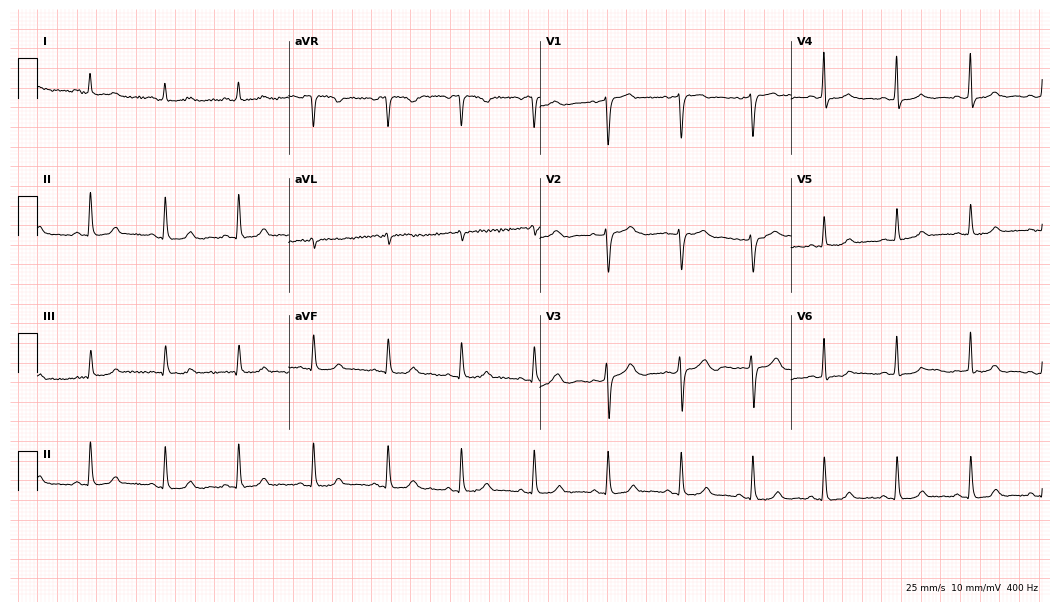
Resting 12-lead electrocardiogram. Patient: a 37-year-old woman. None of these six findings is recorded: first-degree AV block, right bundle branch block, left bundle branch block, sinus bradycardia, atrial fibrillation, sinus tachycardia. Other findings, if any, are not listed.